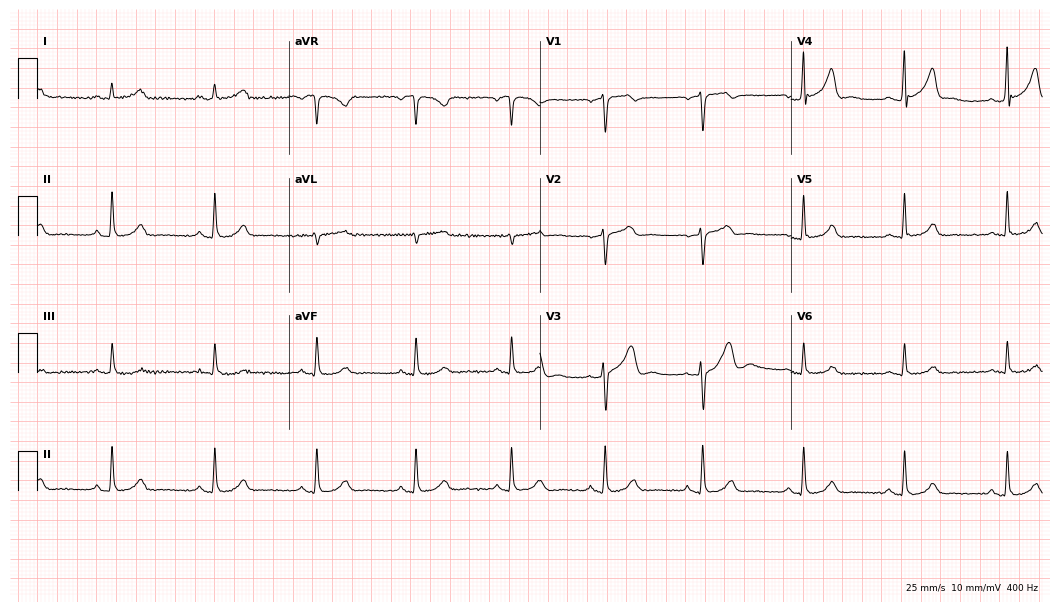
Electrocardiogram (10.2-second recording at 400 Hz), a 29-year-old male patient. Overall reading on record: normal ECG.